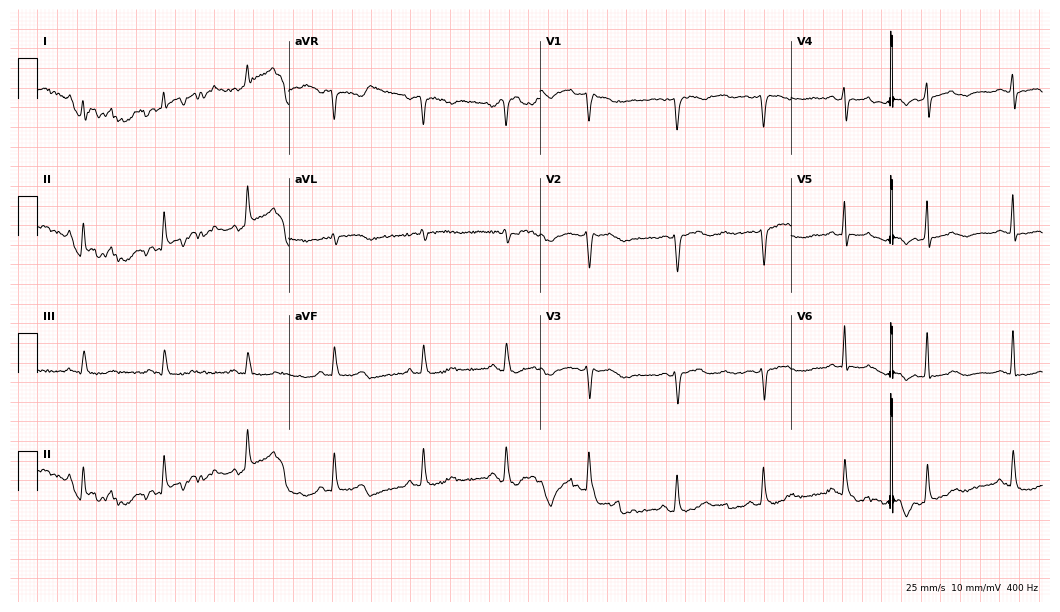
ECG (10.2-second recording at 400 Hz) — a female patient, 53 years old. Screened for six findings — first-degree AV block, right bundle branch block (RBBB), left bundle branch block (LBBB), sinus bradycardia, atrial fibrillation (AF), sinus tachycardia — none is recorded. Findings outside these six are not listed.